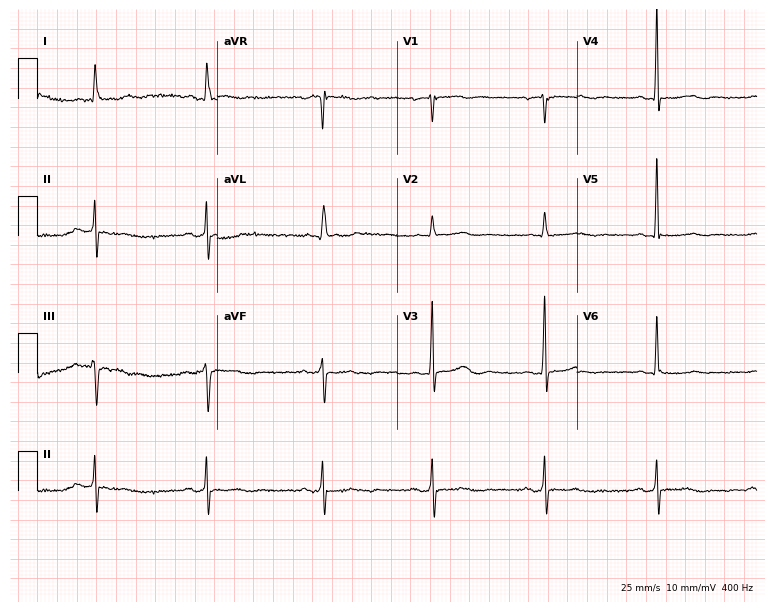
Electrocardiogram, a 77-year-old woman. Of the six screened findings (first-degree AV block, right bundle branch block, left bundle branch block, sinus bradycardia, atrial fibrillation, sinus tachycardia), none is recorded. Findings outside these six are not listed.